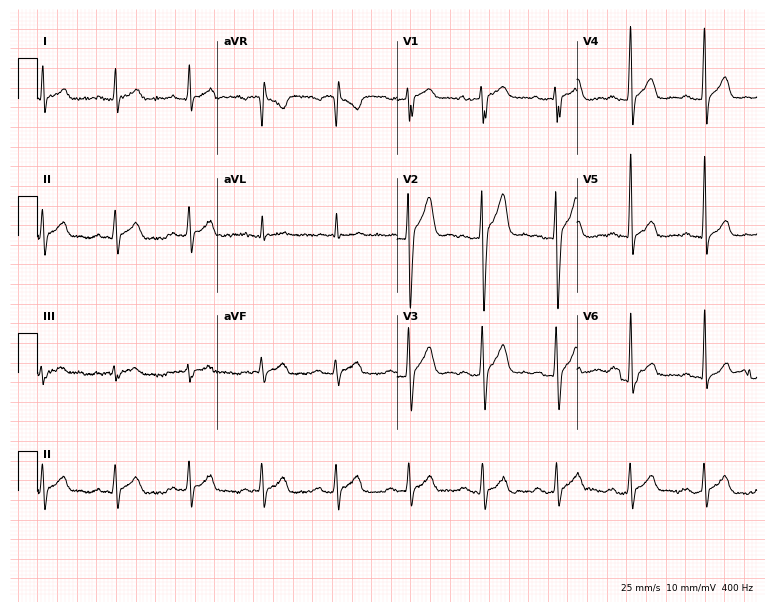
Resting 12-lead electrocardiogram (7.3-second recording at 400 Hz). Patient: a male, 40 years old. The tracing shows first-degree AV block.